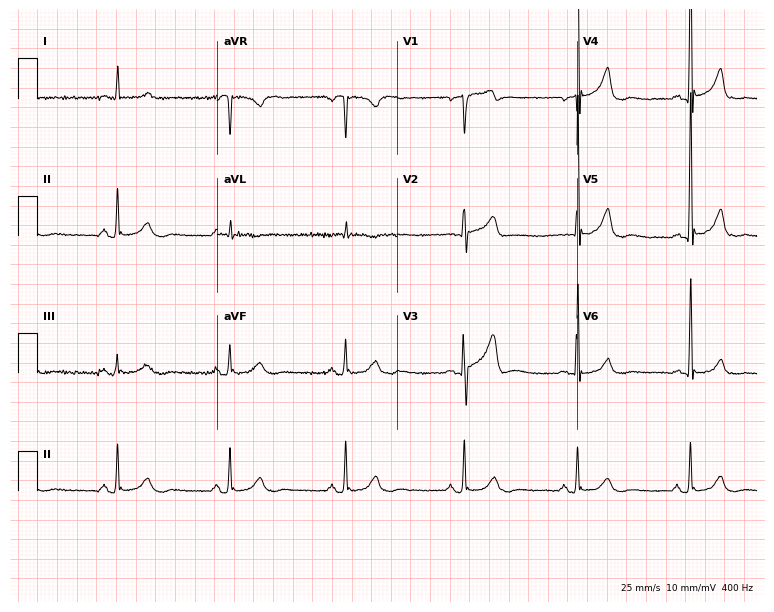
Standard 12-lead ECG recorded from a female patient, 61 years old (7.3-second recording at 400 Hz). The tracing shows sinus bradycardia (a sinus rate of 50 beats per minute or less).